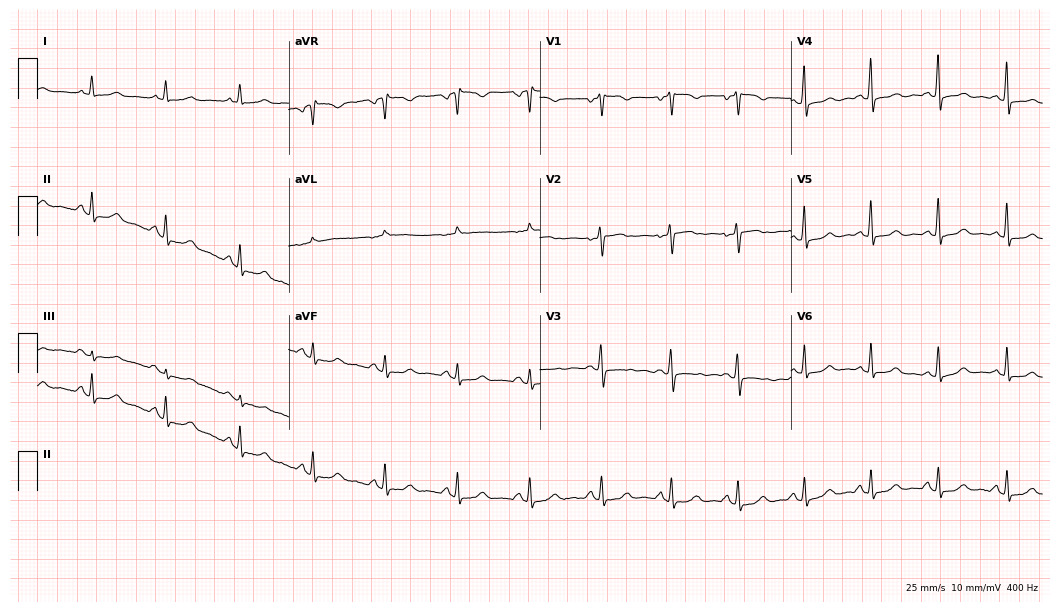
12-lead ECG from a woman, 60 years old. Recorded interpretation: within normal limits.